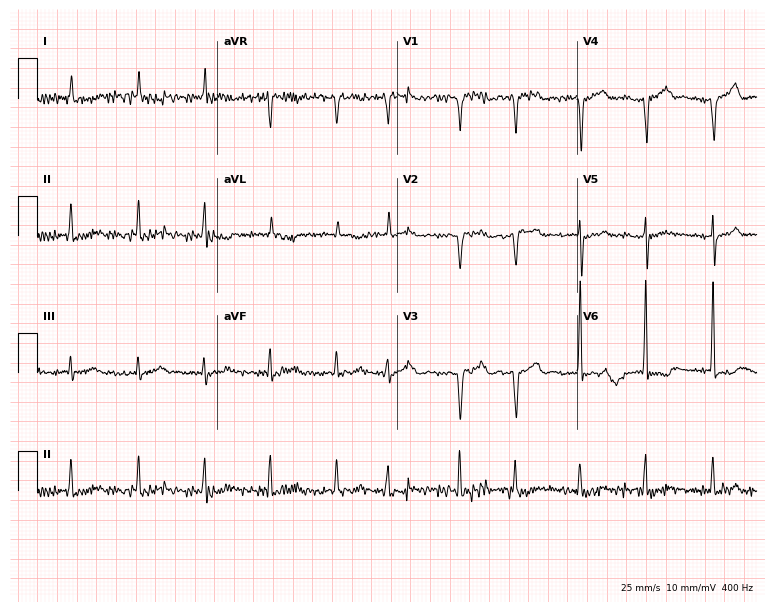
12-lead ECG from a 70-year-old female (7.3-second recording at 400 Hz). No first-degree AV block, right bundle branch block, left bundle branch block, sinus bradycardia, atrial fibrillation or sinus tachycardia recorded for this tracing.